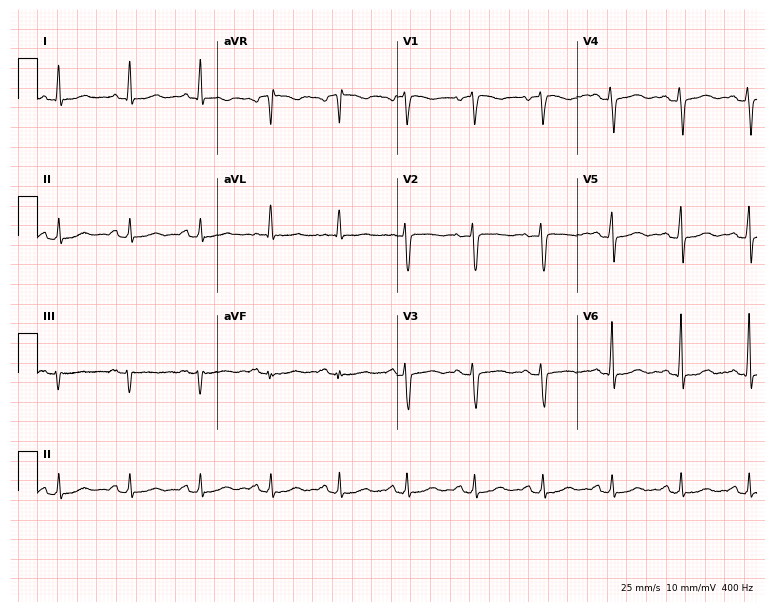
12-lead ECG from a 63-year-old woman (7.3-second recording at 400 Hz). No first-degree AV block, right bundle branch block, left bundle branch block, sinus bradycardia, atrial fibrillation or sinus tachycardia recorded for this tracing.